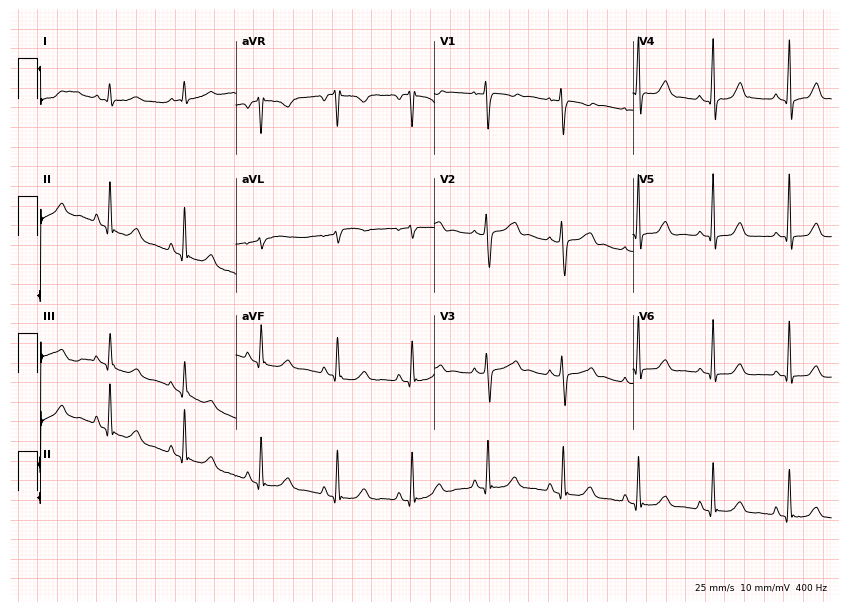
12-lead ECG (8.1-second recording at 400 Hz) from a 33-year-old female. Labelled as a normal ECG.